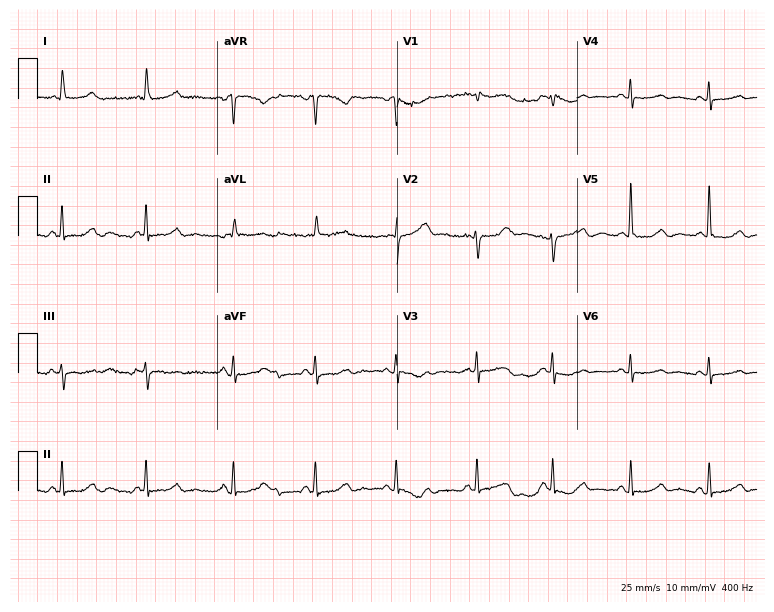
12-lead ECG (7.3-second recording at 400 Hz) from an 82-year-old woman. Screened for six findings — first-degree AV block, right bundle branch block (RBBB), left bundle branch block (LBBB), sinus bradycardia, atrial fibrillation (AF), sinus tachycardia — none is recorded.